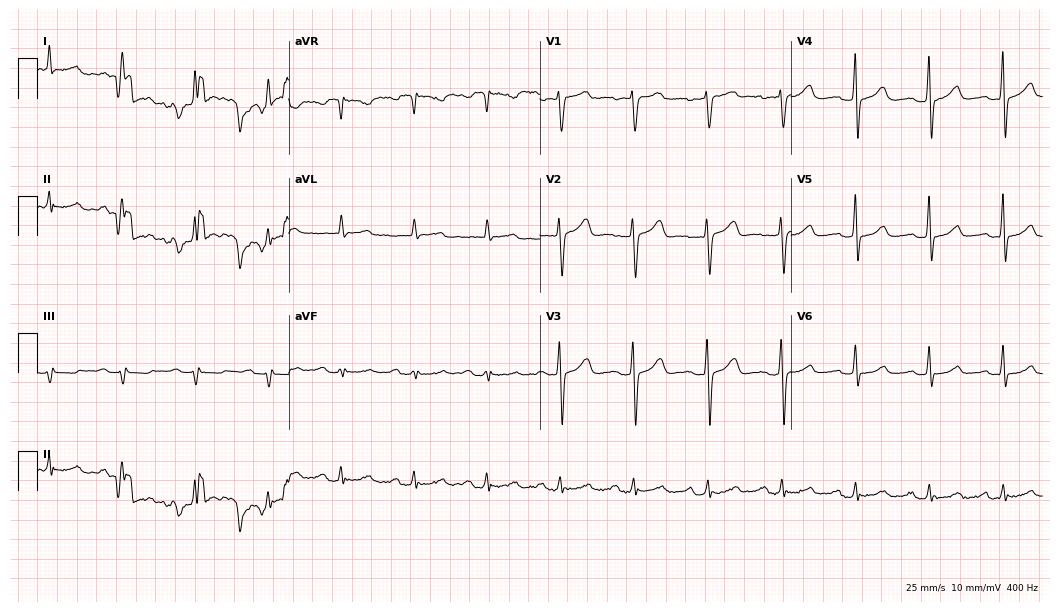
12-lead ECG from a female, 61 years old (10.2-second recording at 400 Hz). No first-degree AV block, right bundle branch block, left bundle branch block, sinus bradycardia, atrial fibrillation or sinus tachycardia recorded for this tracing.